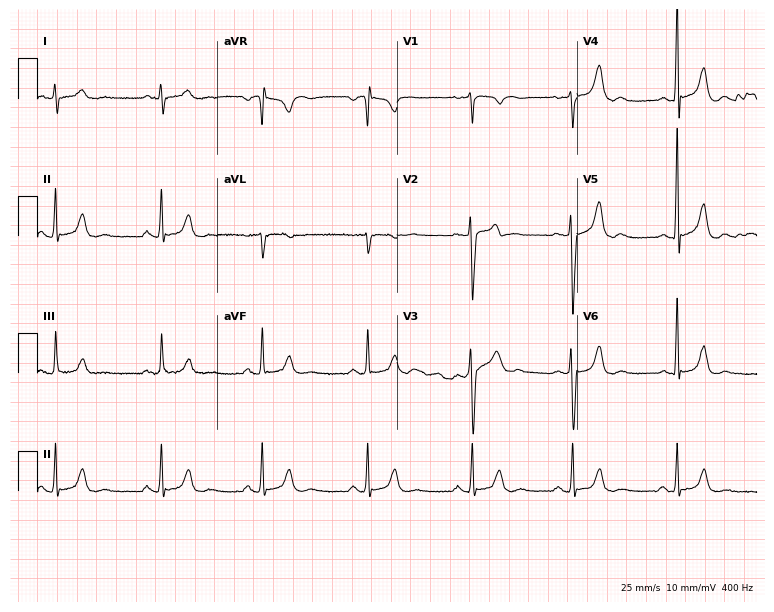
12-lead ECG from a male patient, 44 years old. Recorded interpretation: within normal limits.